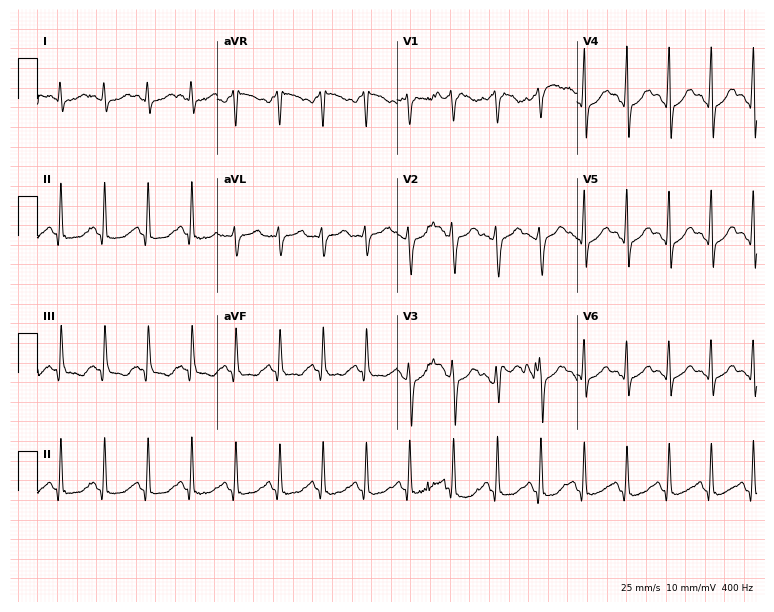
12-lead ECG from a 29-year-old female patient (7.3-second recording at 400 Hz). Shows sinus tachycardia (a sinus rate of 100 beats per minute or more).